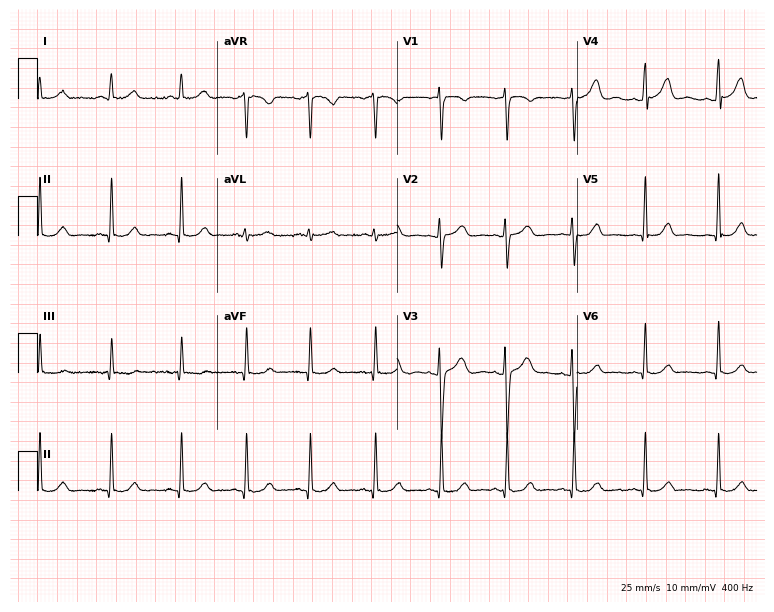
12-lead ECG from a 33-year-old female. Screened for six findings — first-degree AV block, right bundle branch block, left bundle branch block, sinus bradycardia, atrial fibrillation, sinus tachycardia — none is recorded. Other findings, if any, are not listed.